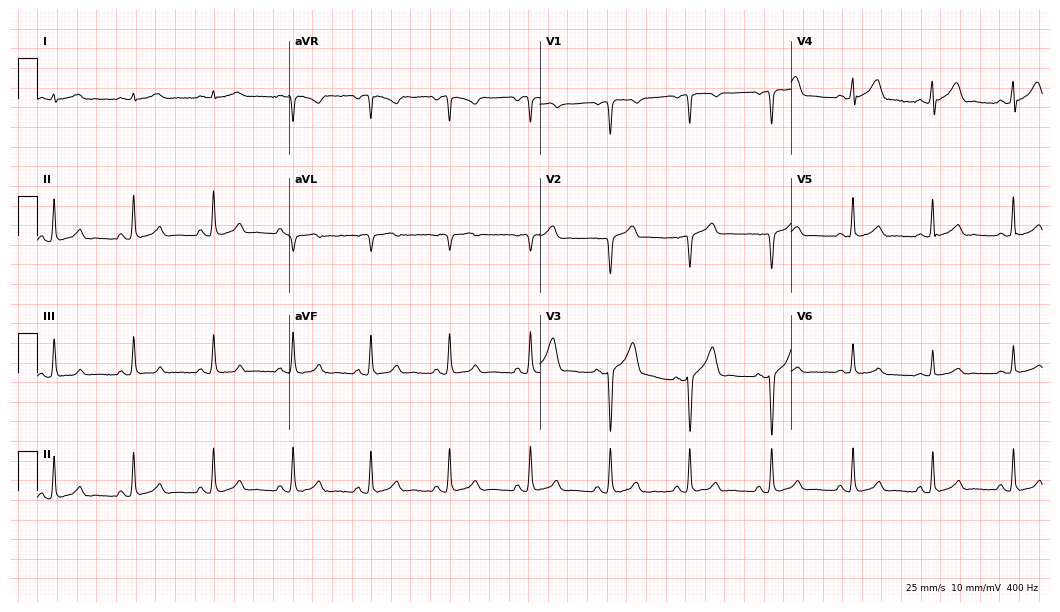
12-lead ECG from a male, 51 years old. No first-degree AV block, right bundle branch block, left bundle branch block, sinus bradycardia, atrial fibrillation or sinus tachycardia recorded for this tracing. Only these six findings were labelled.